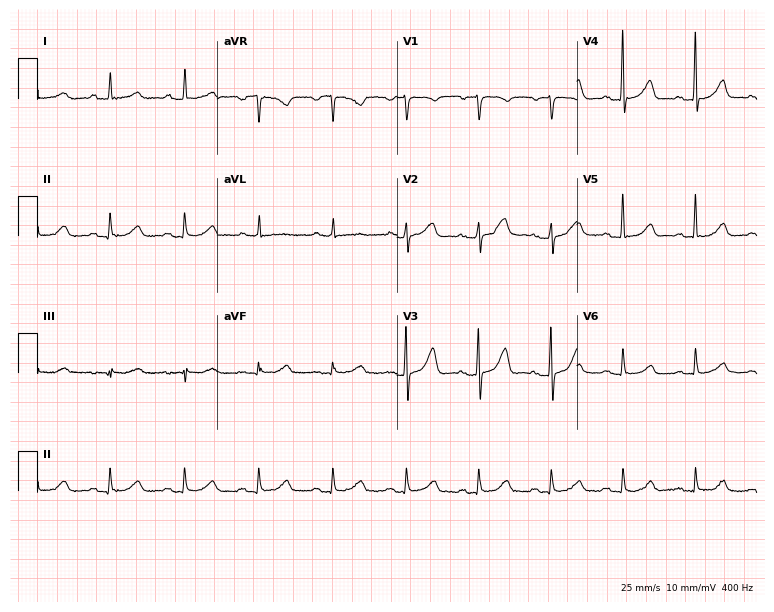
ECG — a female patient, 66 years old. Screened for six findings — first-degree AV block, right bundle branch block (RBBB), left bundle branch block (LBBB), sinus bradycardia, atrial fibrillation (AF), sinus tachycardia — none is recorded. Other findings, if any, are not listed.